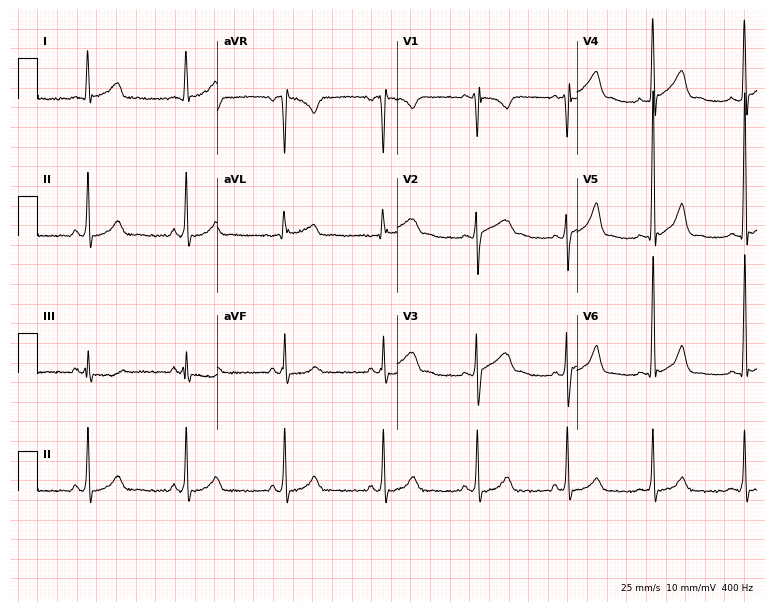
ECG (7.3-second recording at 400 Hz) — a 34-year-old male patient. Screened for six findings — first-degree AV block, right bundle branch block (RBBB), left bundle branch block (LBBB), sinus bradycardia, atrial fibrillation (AF), sinus tachycardia — none is recorded. Other findings, if any, are not listed.